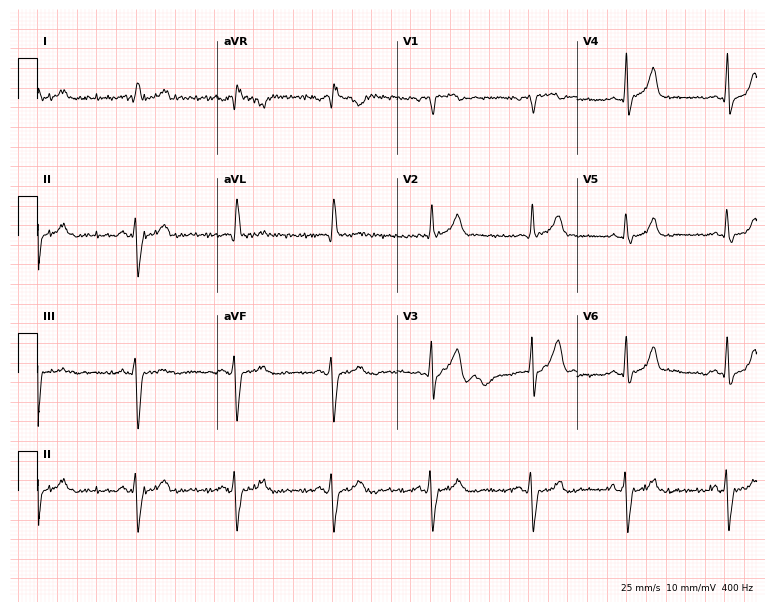
Resting 12-lead electrocardiogram. Patient: a 70-year-old man. None of these six findings is recorded: first-degree AV block, right bundle branch block, left bundle branch block, sinus bradycardia, atrial fibrillation, sinus tachycardia. Findings outside these six are not listed.